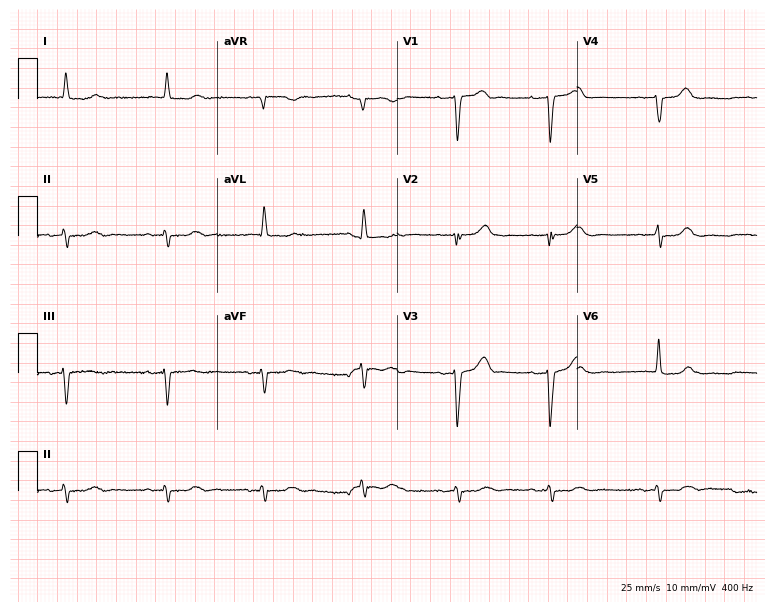
ECG — a female patient, 85 years old. Screened for six findings — first-degree AV block, right bundle branch block, left bundle branch block, sinus bradycardia, atrial fibrillation, sinus tachycardia — none is recorded.